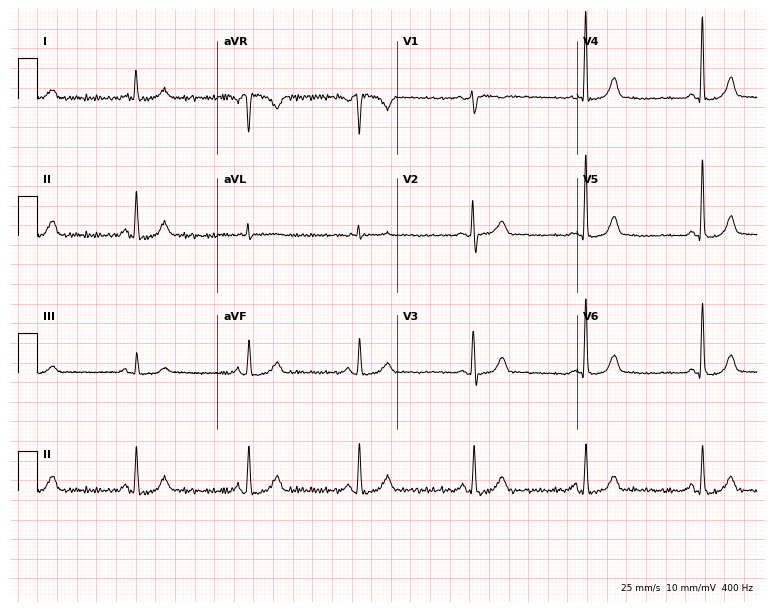
12-lead ECG from a woman, 72 years old. Recorded interpretation: within normal limits.